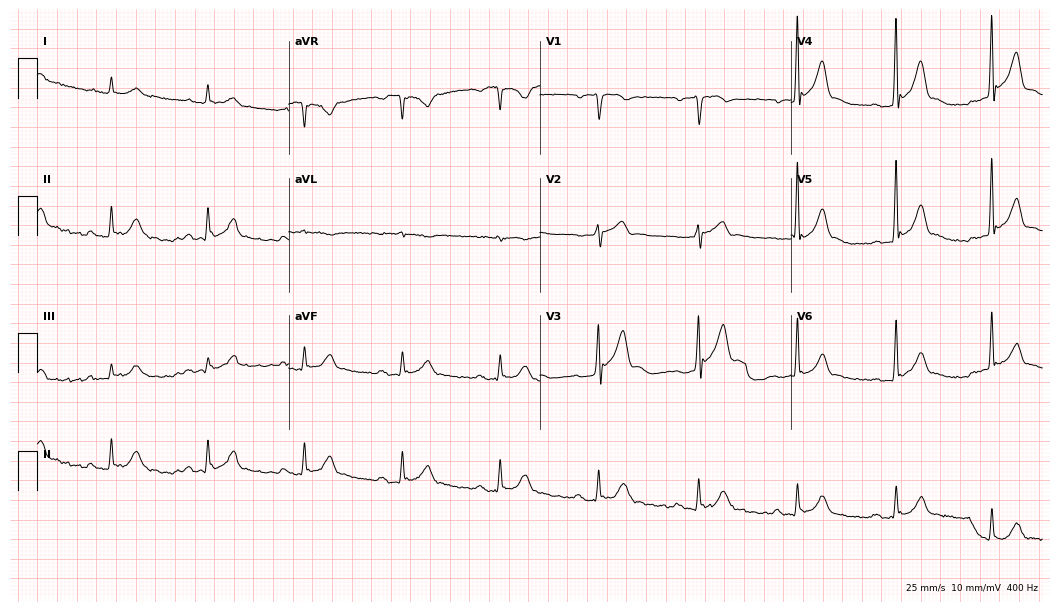
Standard 12-lead ECG recorded from a 55-year-old man. None of these six findings is recorded: first-degree AV block, right bundle branch block (RBBB), left bundle branch block (LBBB), sinus bradycardia, atrial fibrillation (AF), sinus tachycardia.